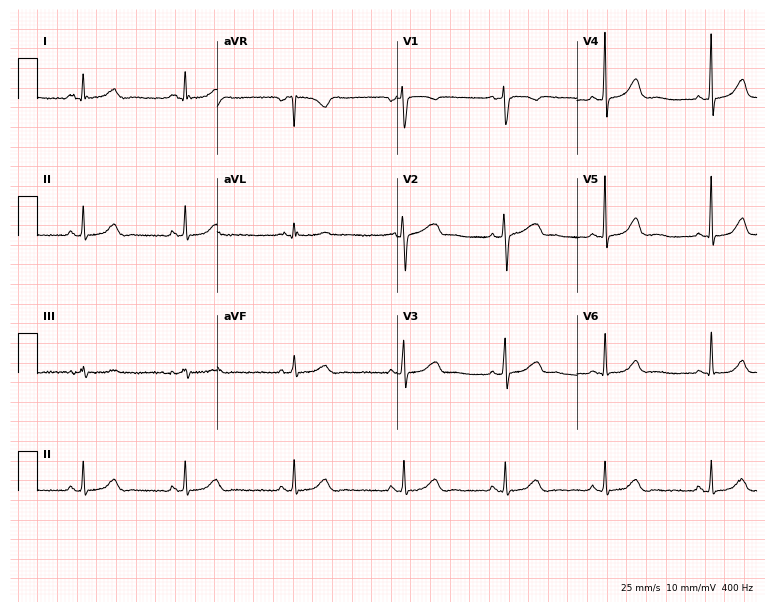
Standard 12-lead ECG recorded from a female patient, 23 years old (7.3-second recording at 400 Hz). Read as a normal ECG.